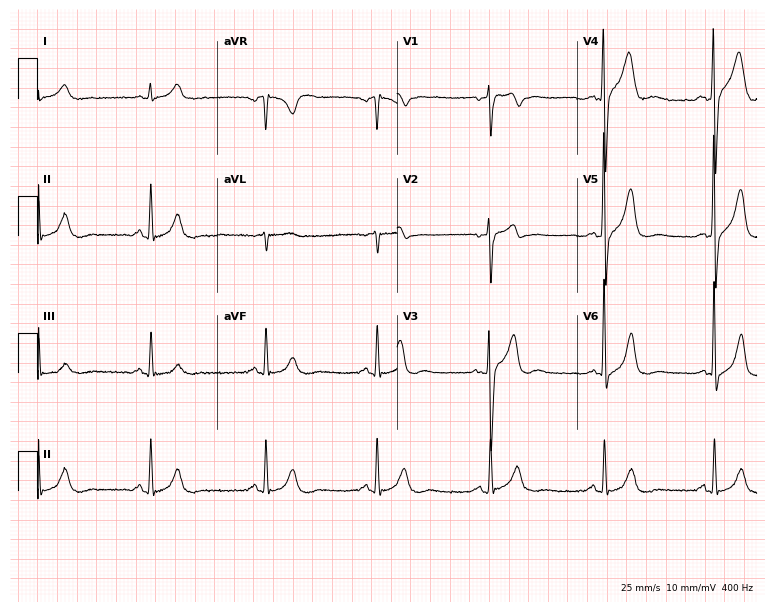
ECG (7.3-second recording at 400 Hz) — a 52-year-old male. Labelled as a normal ECG.